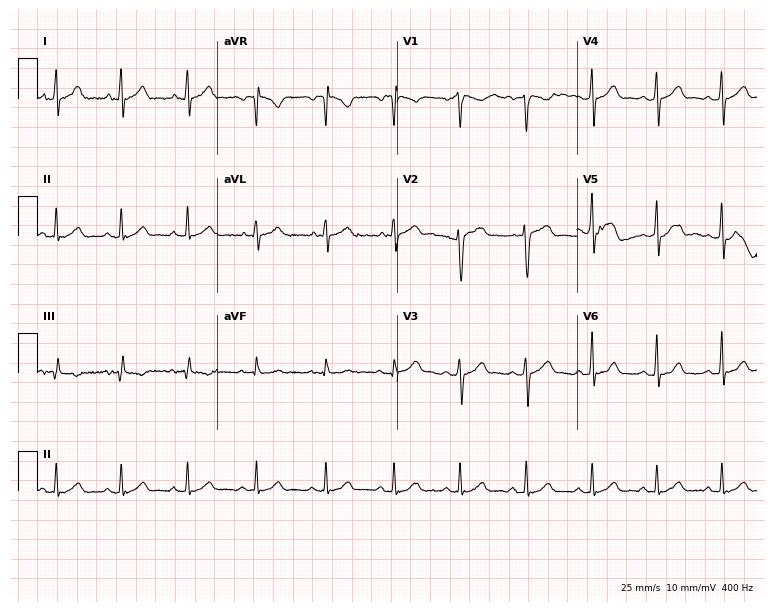
12-lead ECG (7.3-second recording at 400 Hz) from a man, 19 years old. Labelled as a normal ECG.